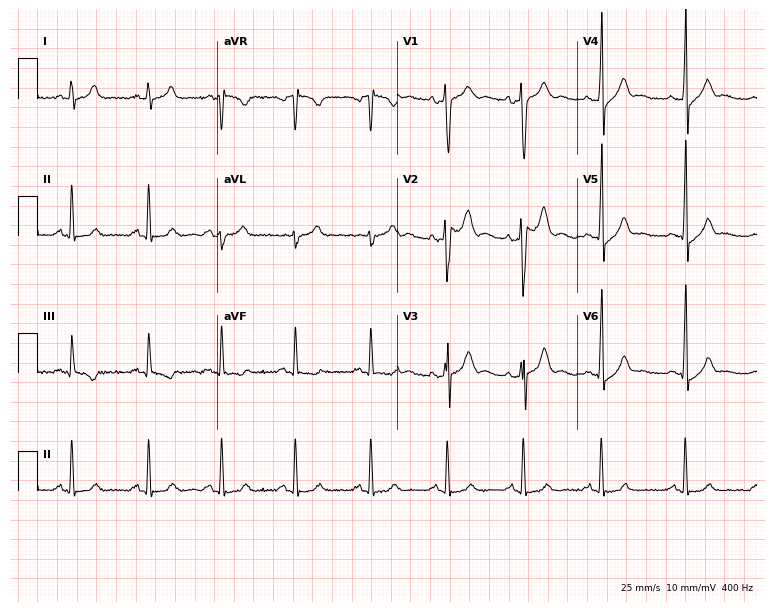
Resting 12-lead electrocardiogram (7.3-second recording at 400 Hz). Patient: a 20-year-old male. None of these six findings is recorded: first-degree AV block, right bundle branch block, left bundle branch block, sinus bradycardia, atrial fibrillation, sinus tachycardia.